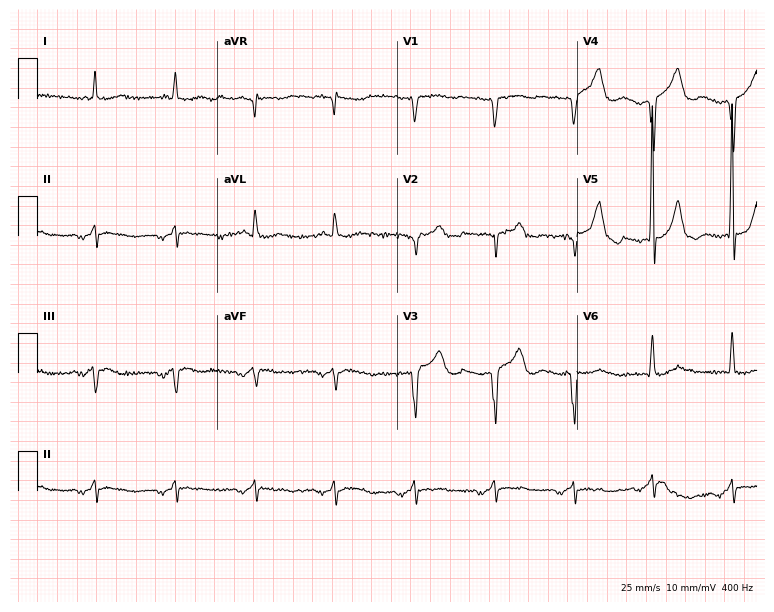
Standard 12-lead ECG recorded from a male patient, 60 years old (7.3-second recording at 400 Hz). None of these six findings is recorded: first-degree AV block, right bundle branch block, left bundle branch block, sinus bradycardia, atrial fibrillation, sinus tachycardia.